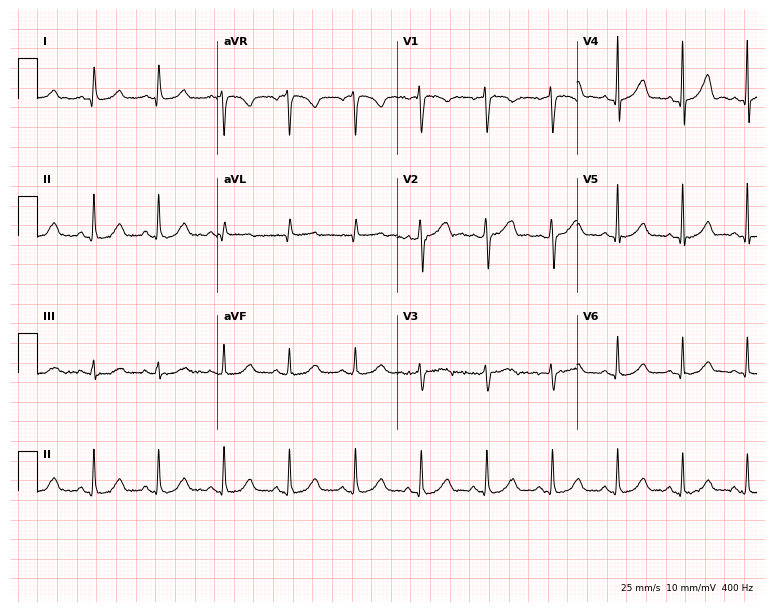
Standard 12-lead ECG recorded from a woman, 41 years old. None of these six findings is recorded: first-degree AV block, right bundle branch block, left bundle branch block, sinus bradycardia, atrial fibrillation, sinus tachycardia.